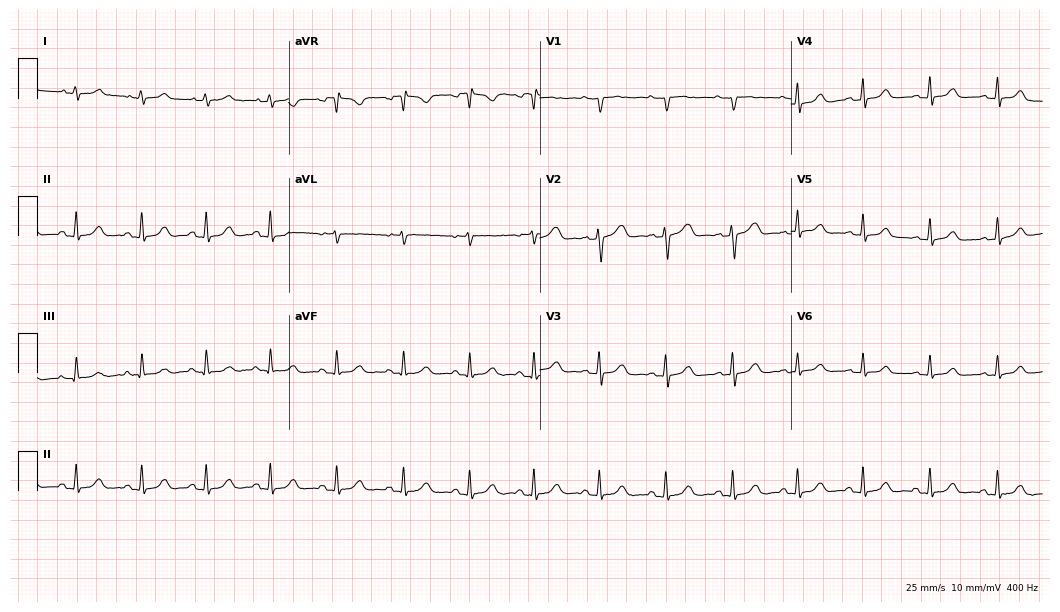
Electrocardiogram (10.2-second recording at 400 Hz), a 32-year-old female. Overall reading on record: normal ECG.